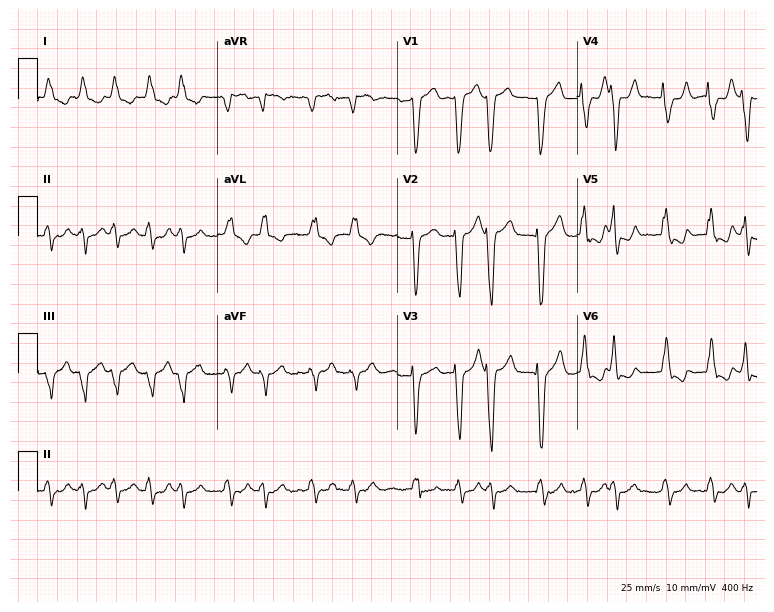
Standard 12-lead ECG recorded from a female patient, 81 years old (7.3-second recording at 400 Hz). The tracing shows left bundle branch block, atrial fibrillation.